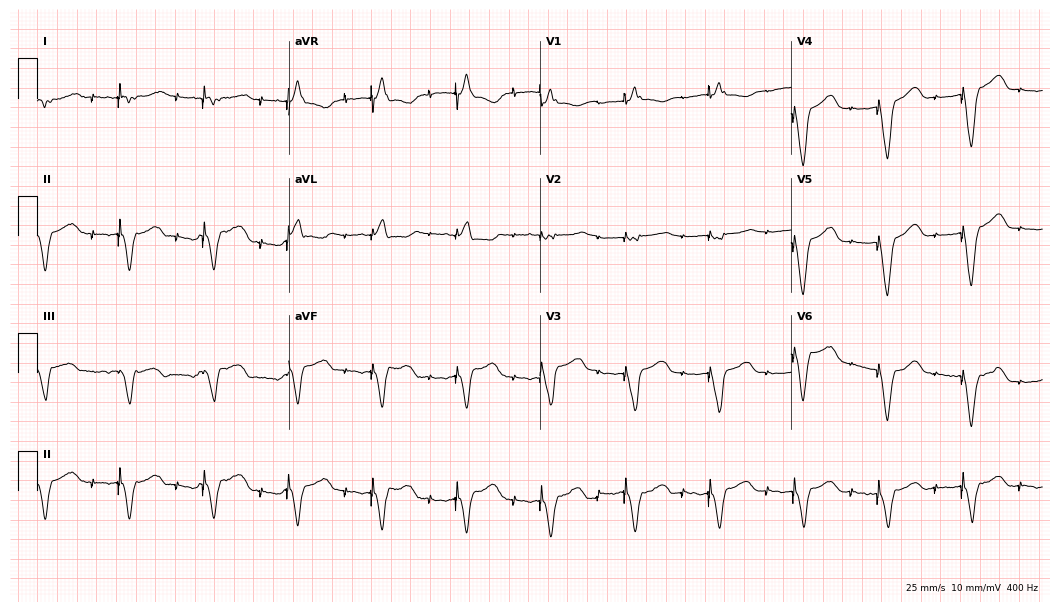
Electrocardiogram, a man, 80 years old. Of the six screened findings (first-degree AV block, right bundle branch block, left bundle branch block, sinus bradycardia, atrial fibrillation, sinus tachycardia), none is recorded. Other findings, if any, are not listed.